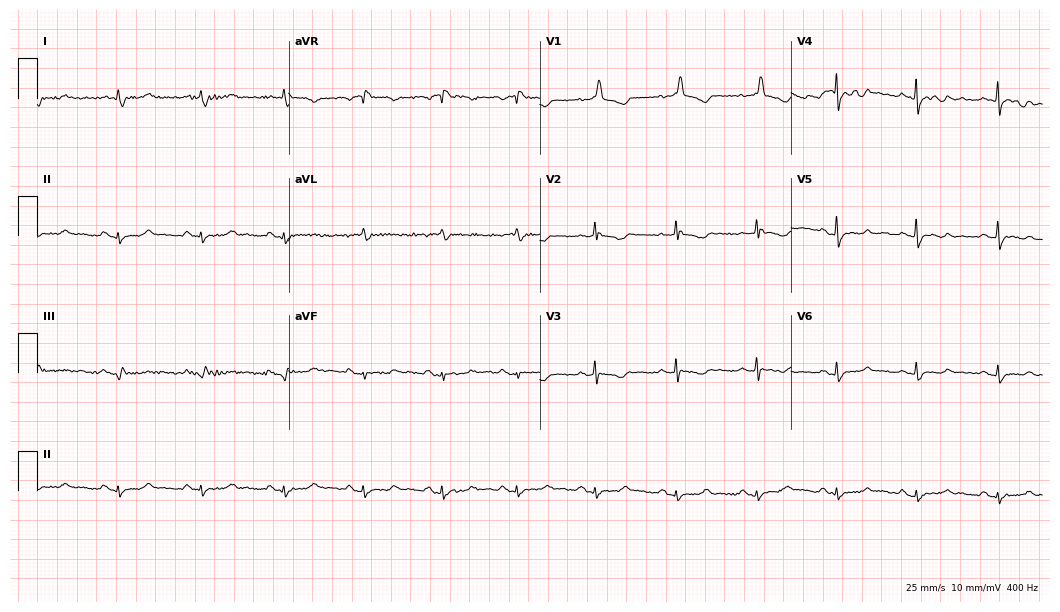
12-lead ECG from a 79-year-old female patient. Screened for six findings — first-degree AV block, right bundle branch block, left bundle branch block, sinus bradycardia, atrial fibrillation, sinus tachycardia — none is recorded. Only these six findings were labelled.